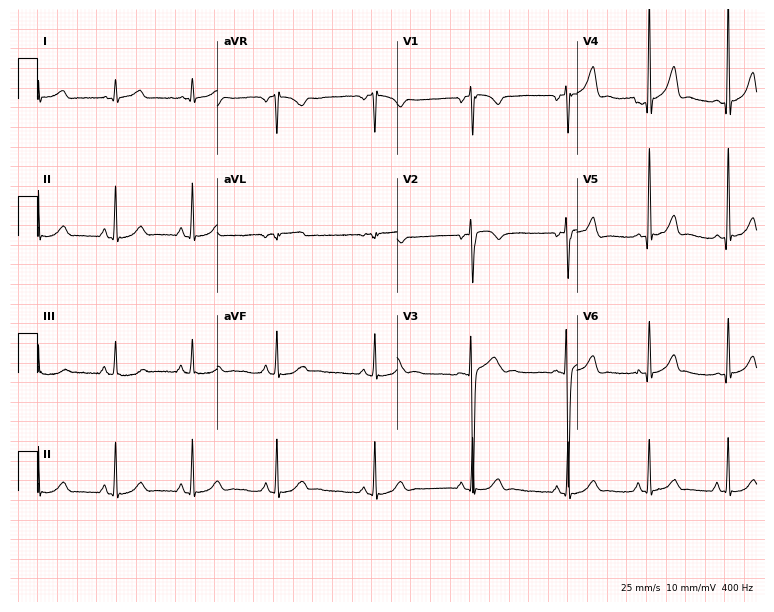
ECG (7.3-second recording at 400 Hz) — an 18-year-old male. Screened for six findings — first-degree AV block, right bundle branch block, left bundle branch block, sinus bradycardia, atrial fibrillation, sinus tachycardia — none is recorded.